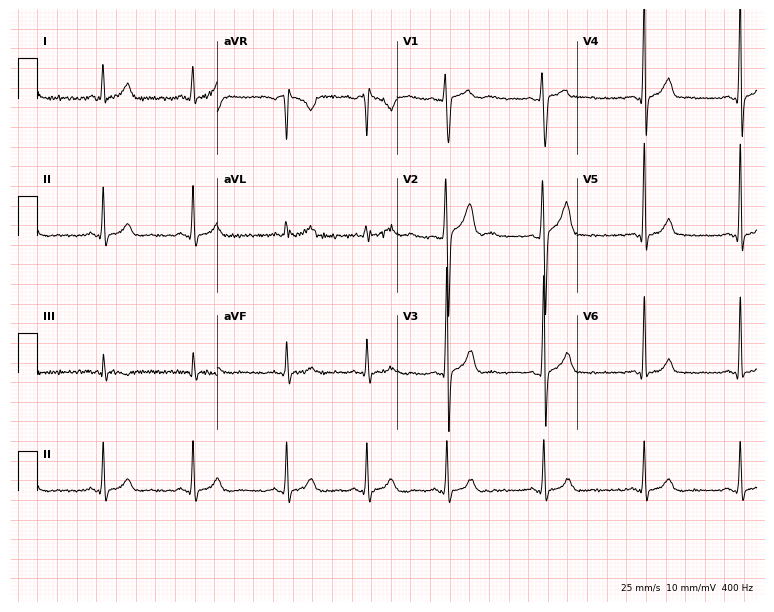
ECG (7.3-second recording at 400 Hz) — a male, 27 years old. Labelled as a normal ECG.